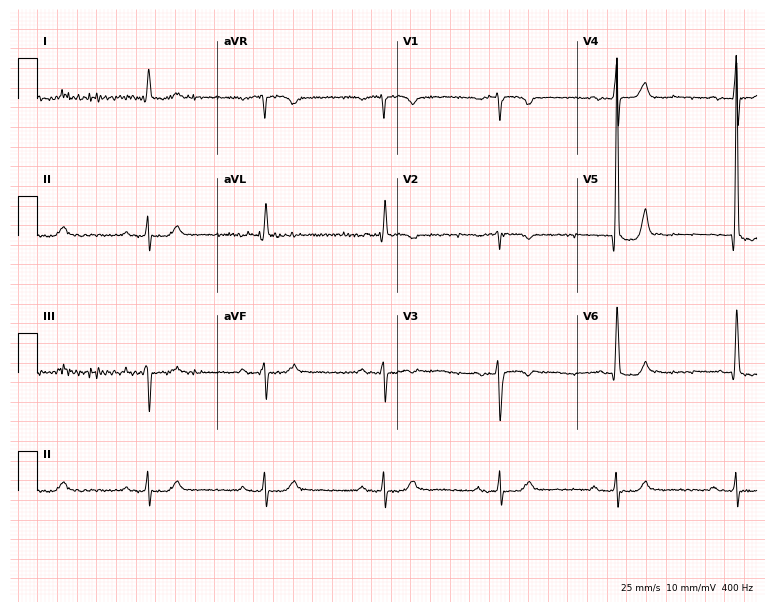
Resting 12-lead electrocardiogram. Patient: a 77-year-old female. None of these six findings is recorded: first-degree AV block, right bundle branch block (RBBB), left bundle branch block (LBBB), sinus bradycardia, atrial fibrillation (AF), sinus tachycardia.